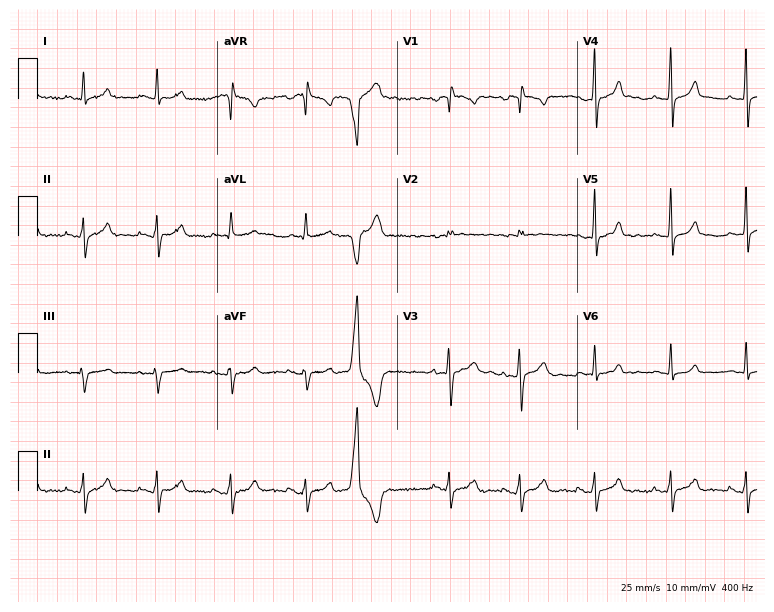
12-lead ECG from a 53-year-old male. Screened for six findings — first-degree AV block, right bundle branch block (RBBB), left bundle branch block (LBBB), sinus bradycardia, atrial fibrillation (AF), sinus tachycardia — none is recorded.